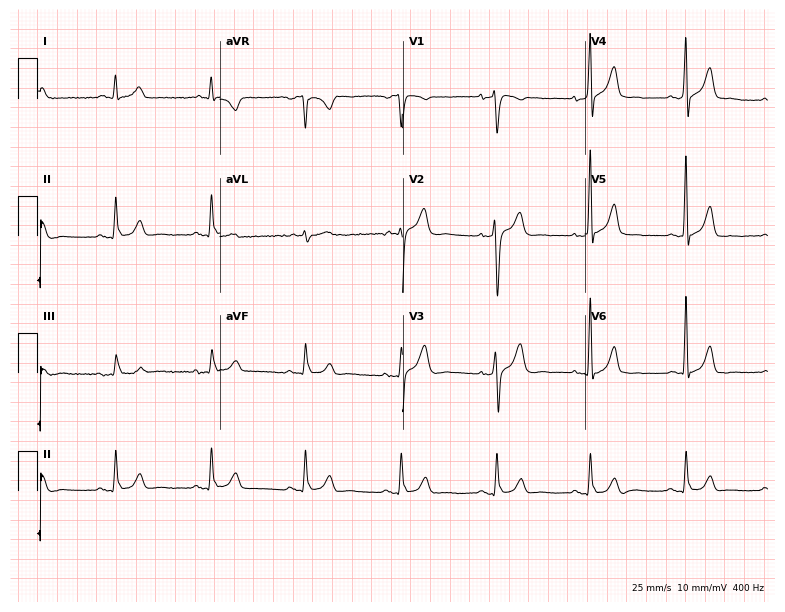
12-lead ECG from a 50-year-old male. No first-degree AV block, right bundle branch block, left bundle branch block, sinus bradycardia, atrial fibrillation or sinus tachycardia recorded for this tracing.